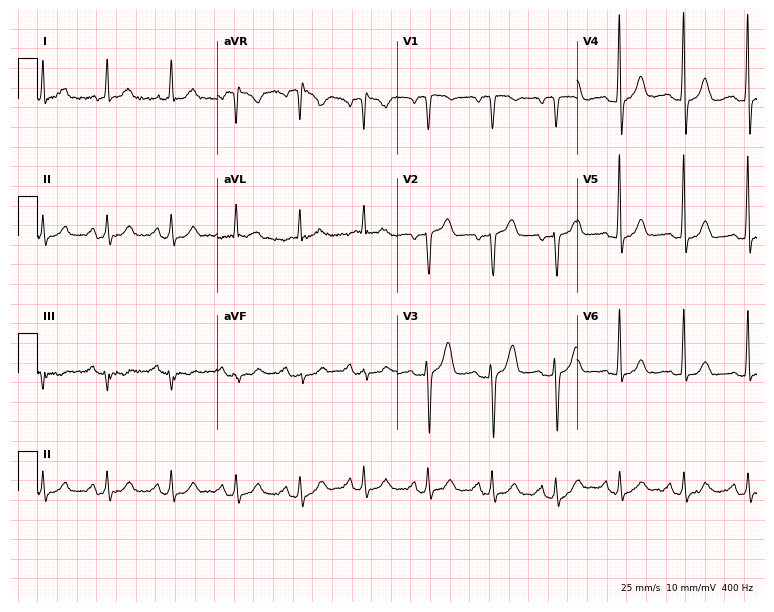
Resting 12-lead electrocardiogram (7.3-second recording at 400 Hz). Patient: a 67-year-old female. None of these six findings is recorded: first-degree AV block, right bundle branch block, left bundle branch block, sinus bradycardia, atrial fibrillation, sinus tachycardia. Only these six findings were labelled.